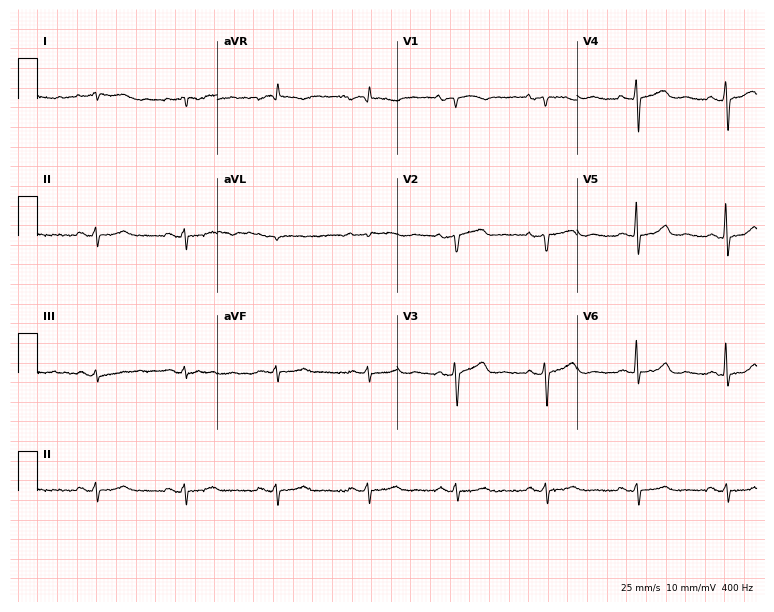
ECG — a female, 72 years old. Screened for six findings — first-degree AV block, right bundle branch block, left bundle branch block, sinus bradycardia, atrial fibrillation, sinus tachycardia — none is recorded. Only these six findings were labelled.